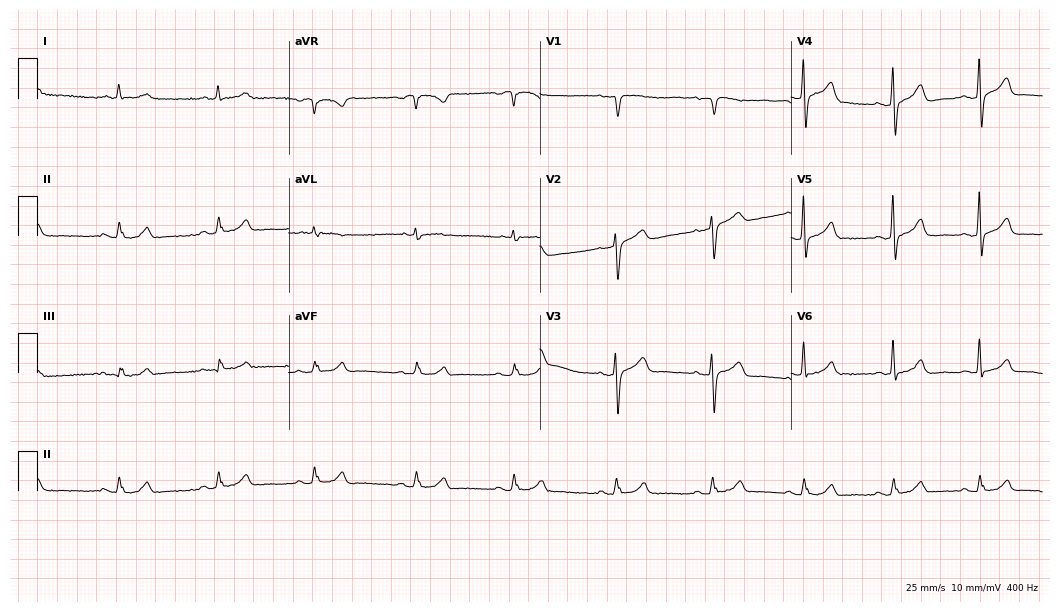
ECG (10.2-second recording at 400 Hz) — a male, 79 years old. Screened for six findings — first-degree AV block, right bundle branch block (RBBB), left bundle branch block (LBBB), sinus bradycardia, atrial fibrillation (AF), sinus tachycardia — none is recorded.